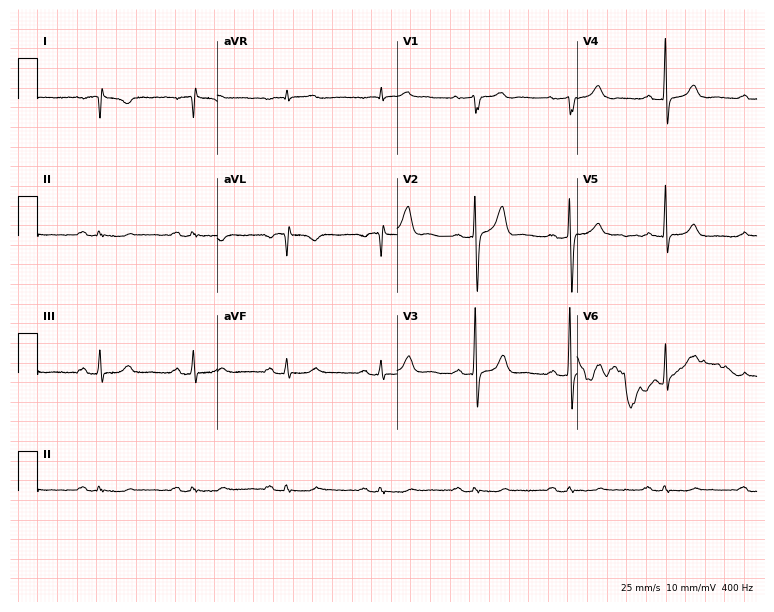
Standard 12-lead ECG recorded from a male, 64 years old (7.3-second recording at 400 Hz). None of these six findings is recorded: first-degree AV block, right bundle branch block, left bundle branch block, sinus bradycardia, atrial fibrillation, sinus tachycardia.